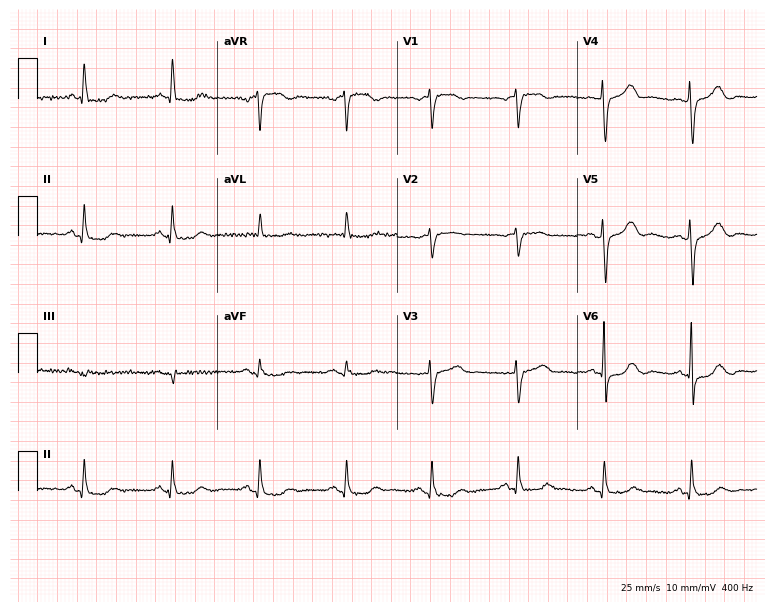
Resting 12-lead electrocardiogram (7.3-second recording at 400 Hz). Patient: a 66-year-old female. None of these six findings is recorded: first-degree AV block, right bundle branch block, left bundle branch block, sinus bradycardia, atrial fibrillation, sinus tachycardia.